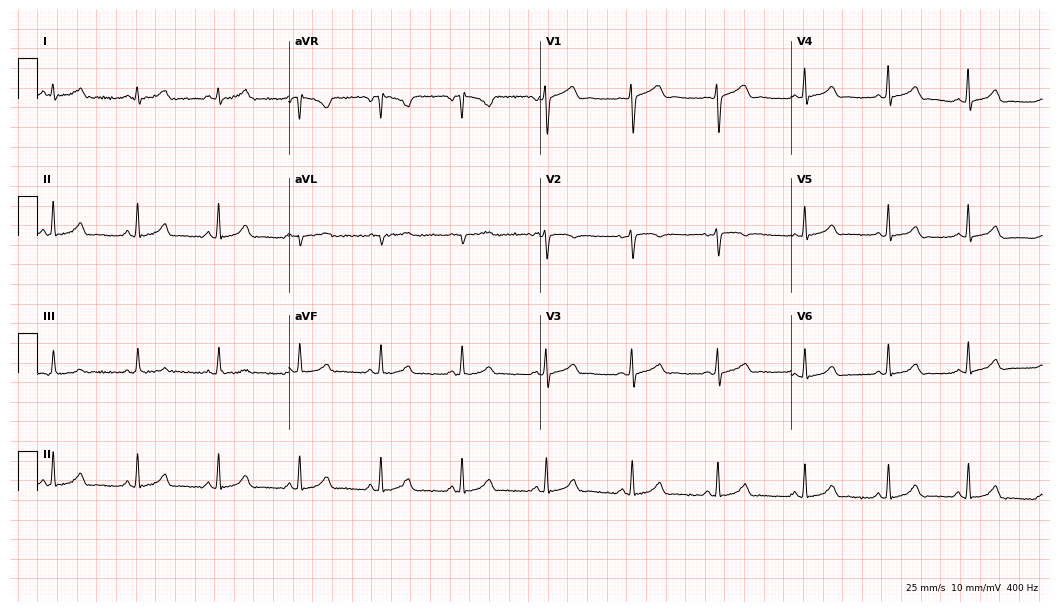
12-lead ECG (10.2-second recording at 400 Hz) from a 42-year-old woman. Labelled as a normal ECG.